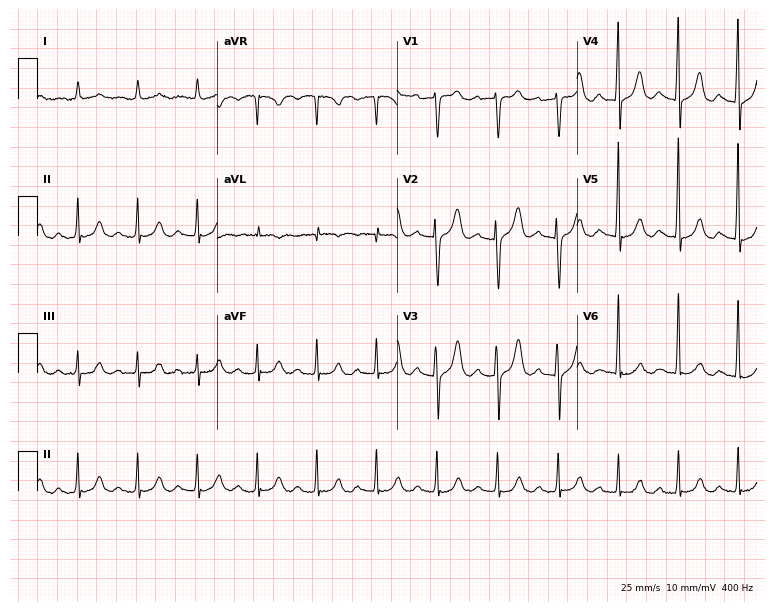
Electrocardiogram, a 79-year-old female patient. Of the six screened findings (first-degree AV block, right bundle branch block, left bundle branch block, sinus bradycardia, atrial fibrillation, sinus tachycardia), none is recorded.